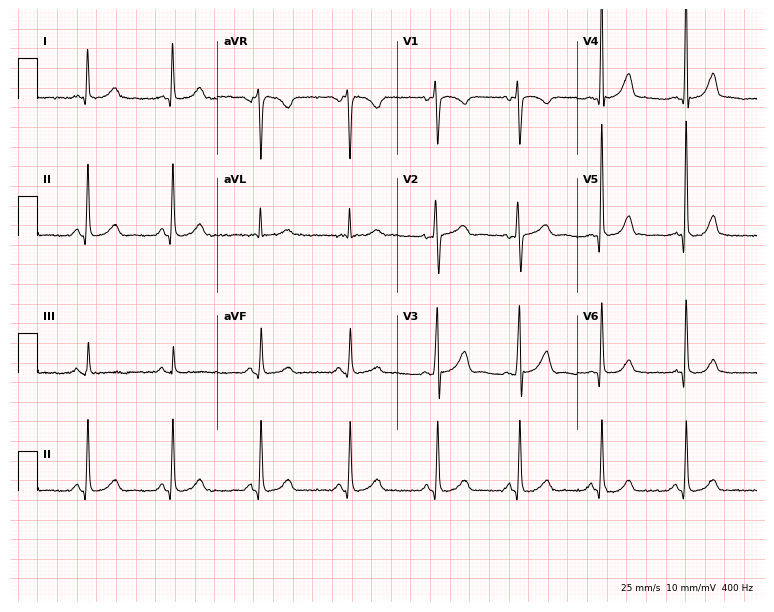
12-lead ECG (7.3-second recording at 400 Hz) from a 38-year-old female patient. Screened for six findings — first-degree AV block, right bundle branch block, left bundle branch block, sinus bradycardia, atrial fibrillation, sinus tachycardia — none is recorded. Other findings, if any, are not listed.